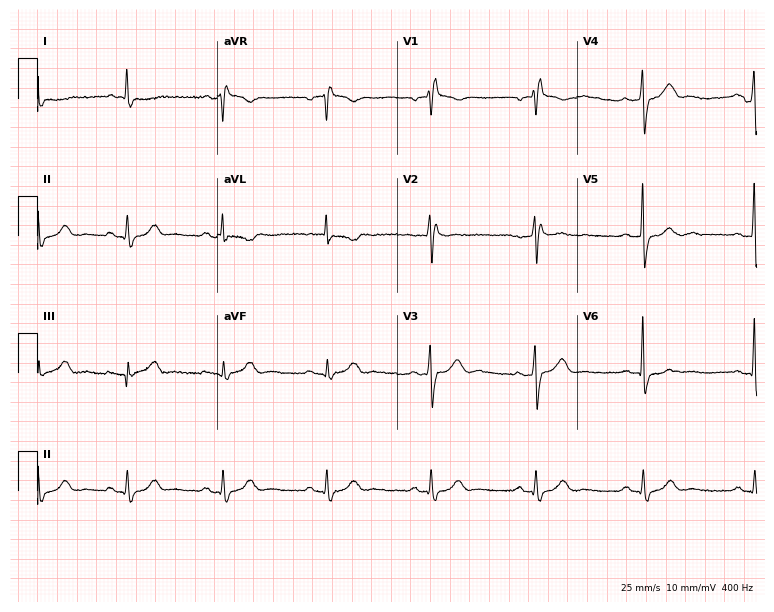
Electrocardiogram (7.3-second recording at 400 Hz), a 72-year-old man. Interpretation includes right bundle branch block.